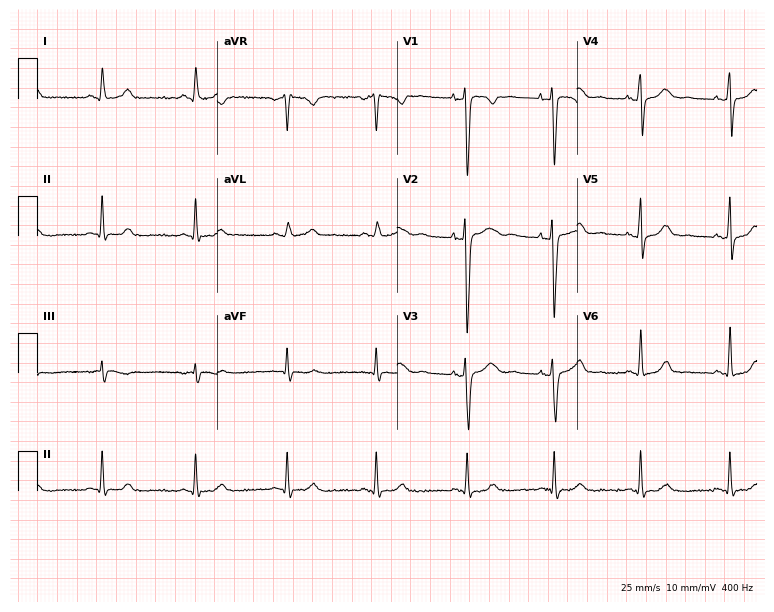
12-lead ECG (7.3-second recording at 400 Hz) from a 19-year-old female patient. Screened for six findings — first-degree AV block, right bundle branch block (RBBB), left bundle branch block (LBBB), sinus bradycardia, atrial fibrillation (AF), sinus tachycardia — none is recorded. Findings outside these six are not listed.